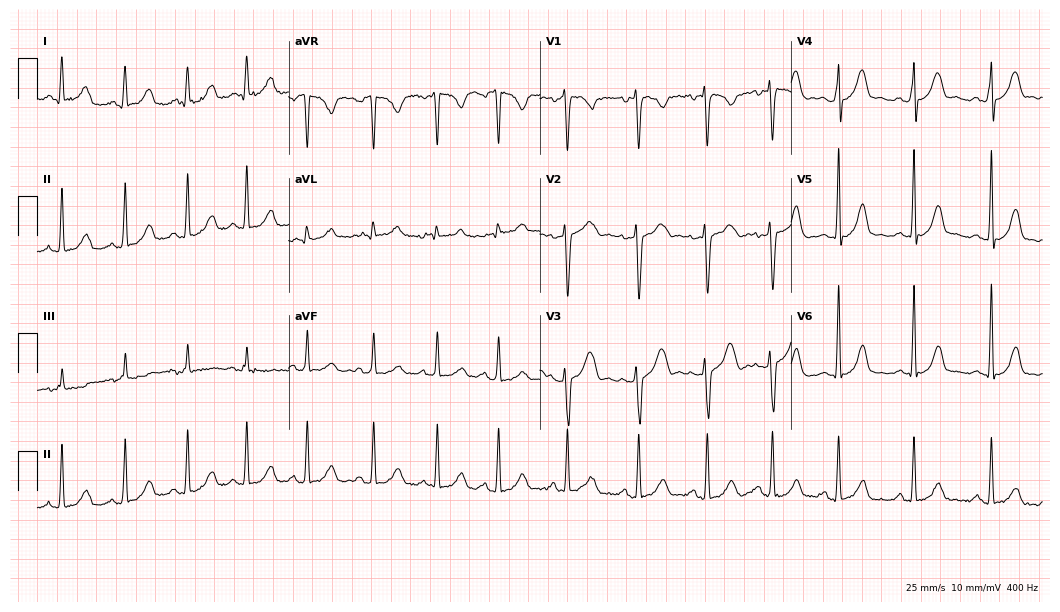
Electrocardiogram (10.2-second recording at 400 Hz), a woman, 31 years old. Overall reading on record: normal ECG.